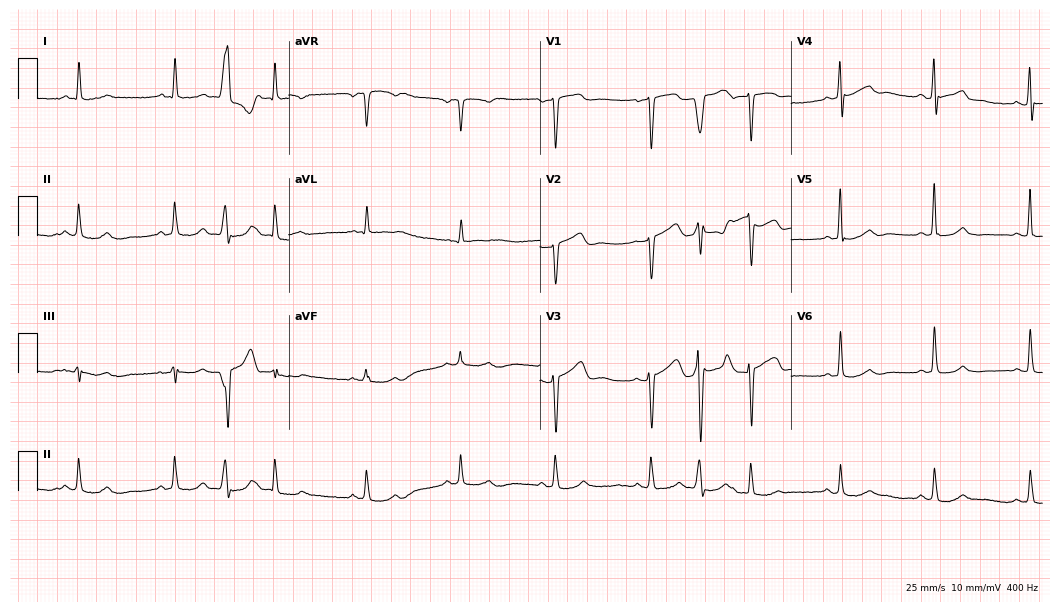
Standard 12-lead ECG recorded from a 60-year-old male patient. None of these six findings is recorded: first-degree AV block, right bundle branch block, left bundle branch block, sinus bradycardia, atrial fibrillation, sinus tachycardia. Other findings, if any, are not listed.